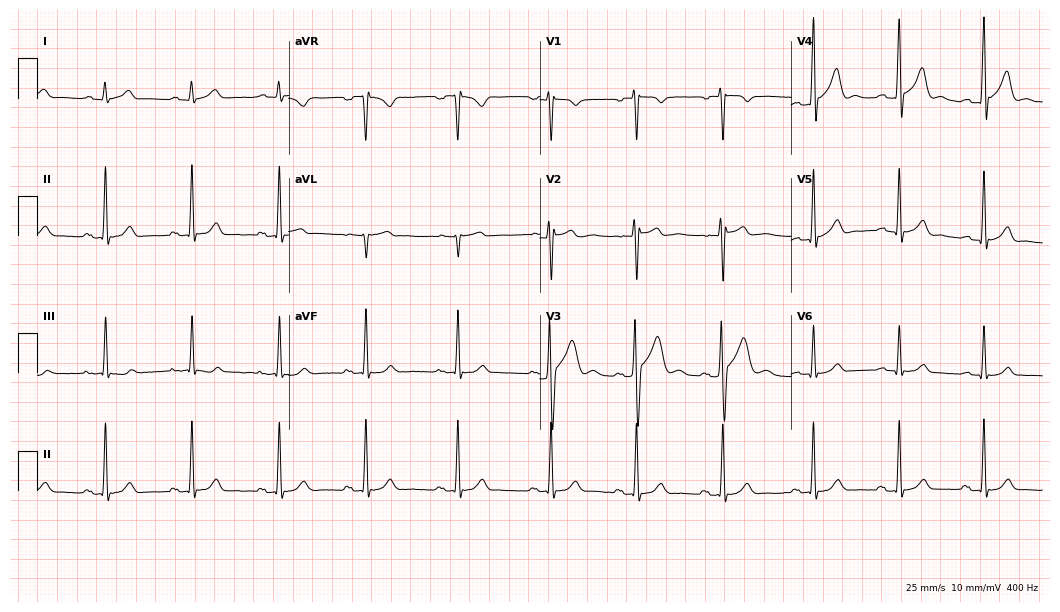
Electrocardiogram (10.2-second recording at 400 Hz), a 19-year-old man. Overall reading on record: normal ECG.